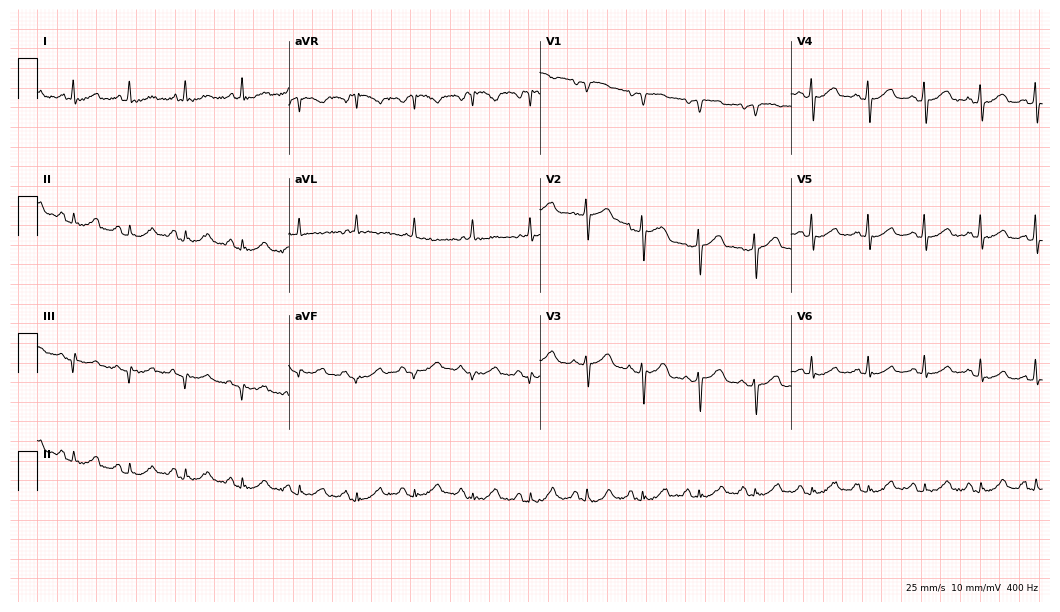
Resting 12-lead electrocardiogram (10.2-second recording at 400 Hz). Patient: a female, 65 years old. Read as a normal ECG.